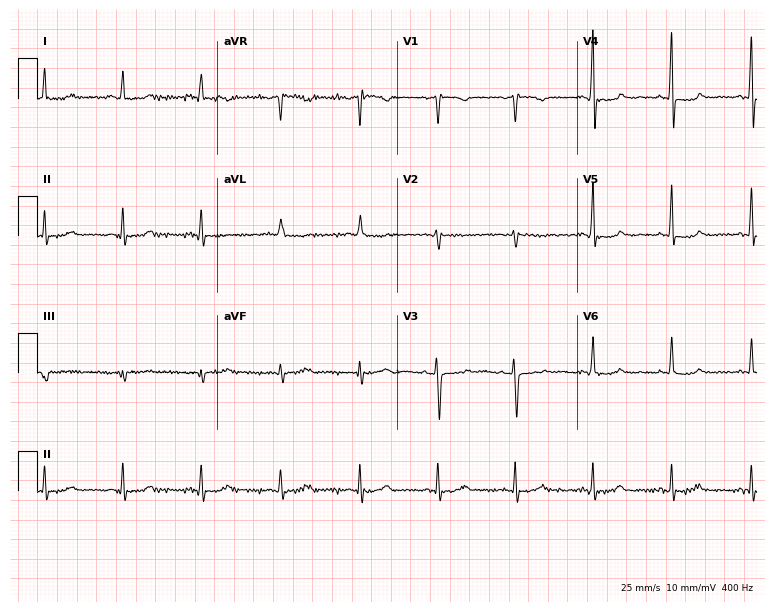
Resting 12-lead electrocardiogram (7.3-second recording at 400 Hz). Patient: a 70-year-old female. Read as a normal ECG.